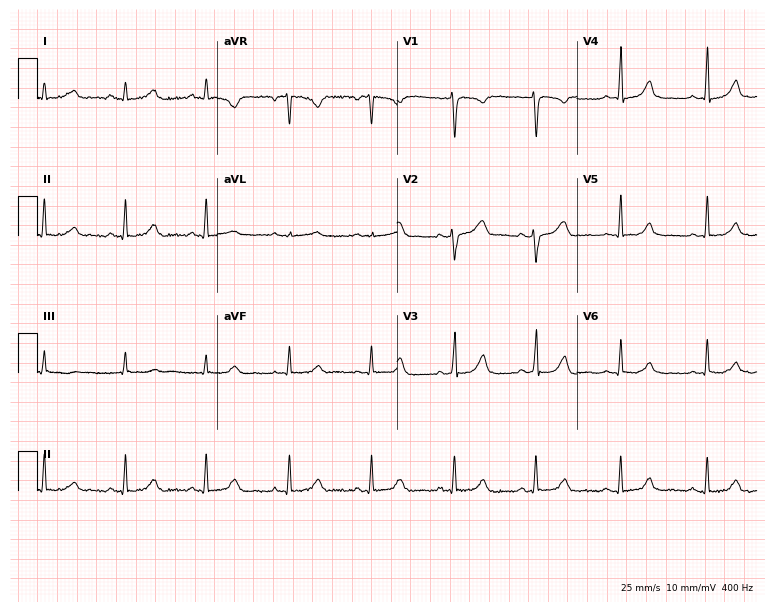
Standard 12-lead ECG recorded from a 27-year-old female patient (7.3-second recording at 400 Hz). None of these six findings is recorded: first-degree AV block, right bundle branch block, left bundle branch block, sinus bradycardia, atrial fibrillation, sinus tachycardia. Findings outside these six are not listed.